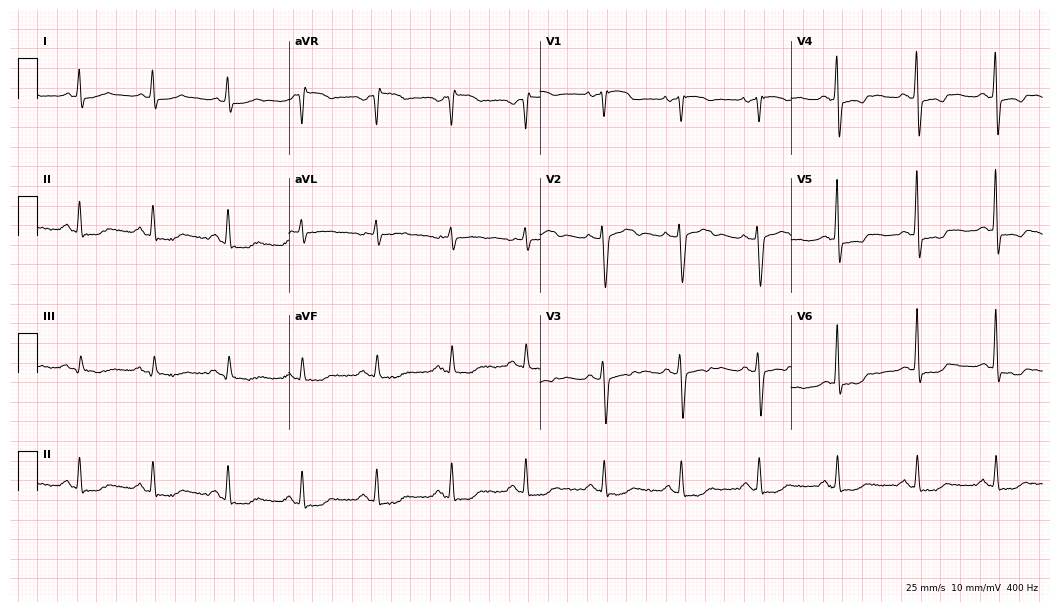
Electrocardiogram (10.2-second recording at 400 Hz), a female patient, 70 years old. Of the six screened findings (first-degree AV block, right bundle branch block (RBBB), left bundle branch block (LBBB), sinus bradycardia, atrial fibrillation (AF), sinus tachycardia), none is recorded. Findings outside these six are not listed.